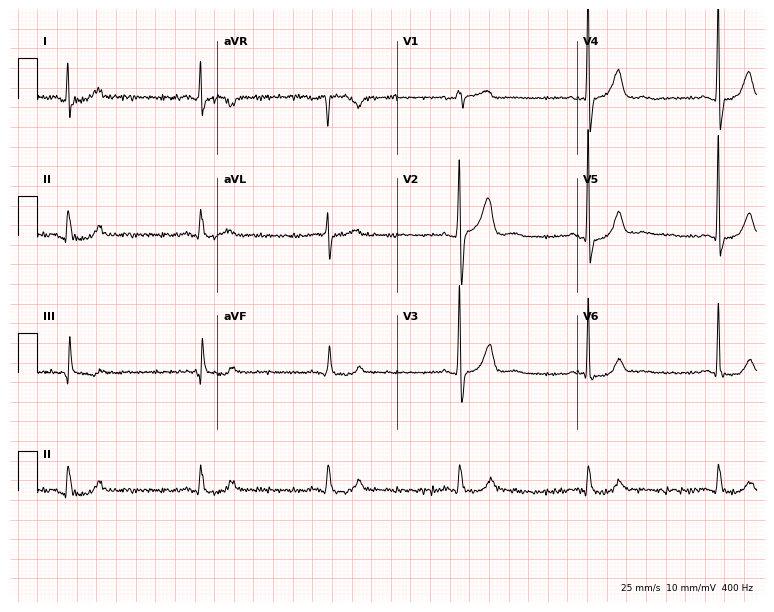
Electrocardiogram, a male, 75 years old. Interpretation includes sinus bradycardia (a sinus rate of 50 beats per minute or less).